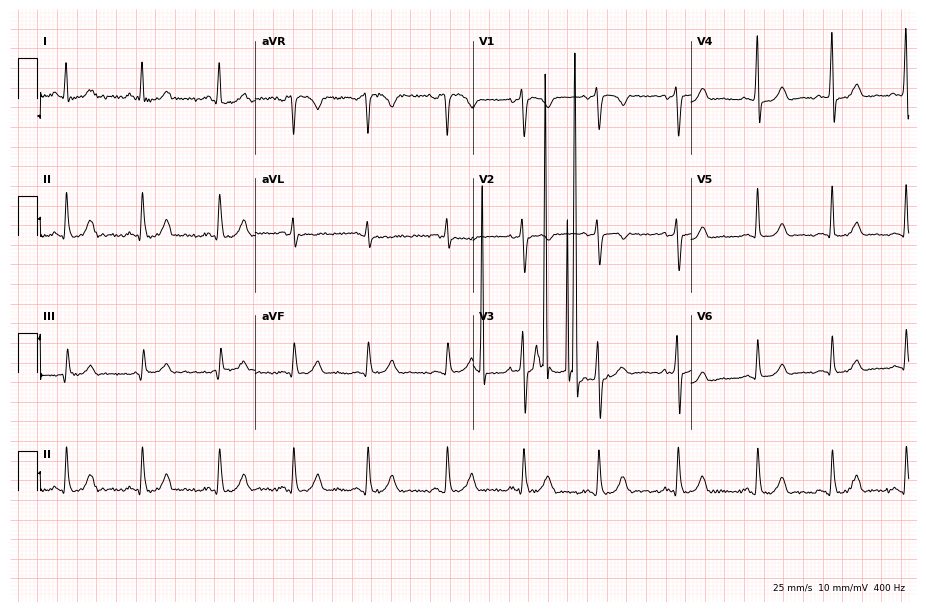
ECG (8.9-second recording at 400 Hz) — a 31-year-old female. Screened for six findings — first-degree AV block, right bundle branch block (RBBB), left bundle branch block (LBBB), sinus bradycardia, atrial fibrillation (AF), sinus tachycardia — none is recorded.